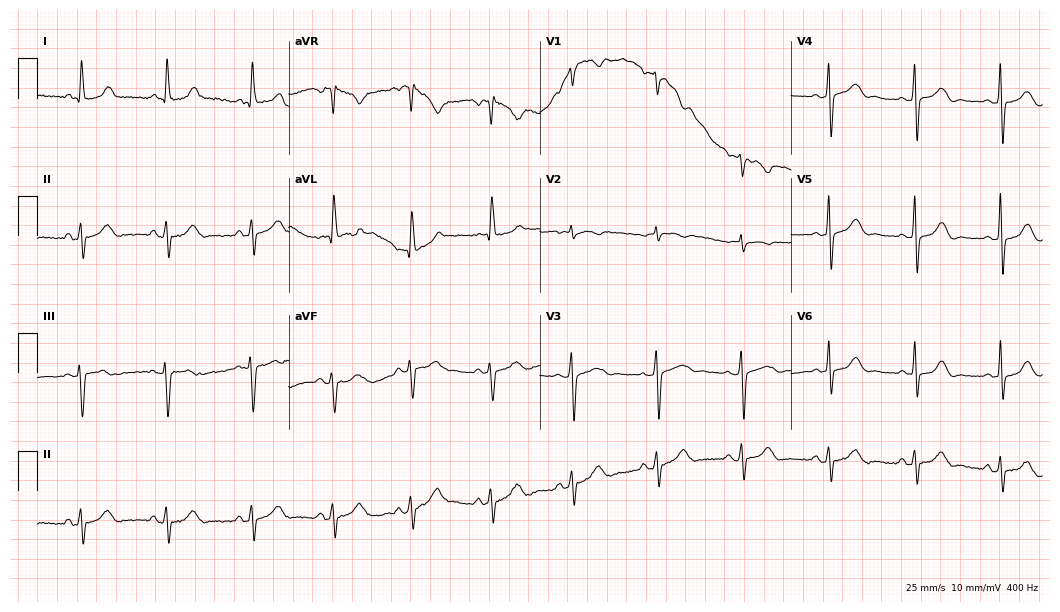
Standard 12-lead ECG recorded from a 68-year-old female (10.2-second recording at 400 Hz). None of these six findings is recorded: first-degree AV block, right bundle branch block (RBBB), left bundle branch block (LBBB), sinus bradycardia, atrial fibrillation (AF), sinus tachycardia. Only these six findings were labelled.